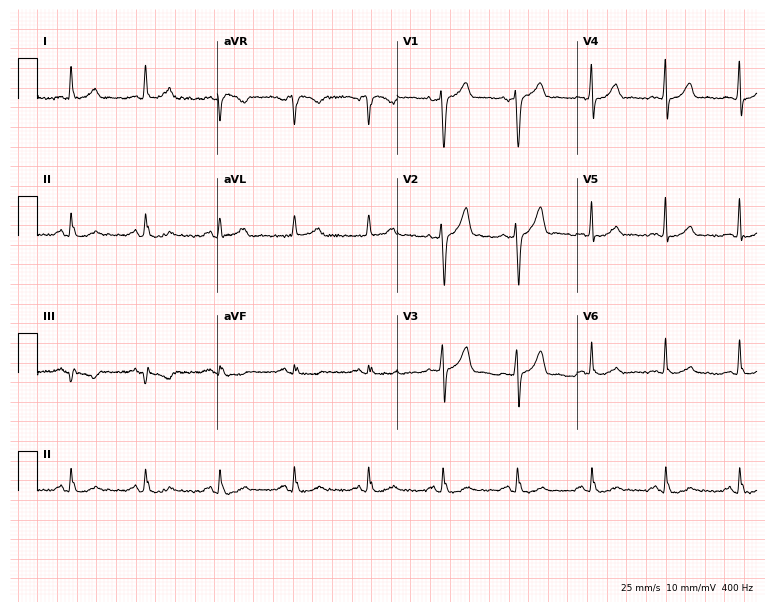
12-lead ECG from a 58-year-old male patient. Recorded interpretation: within normal limits.